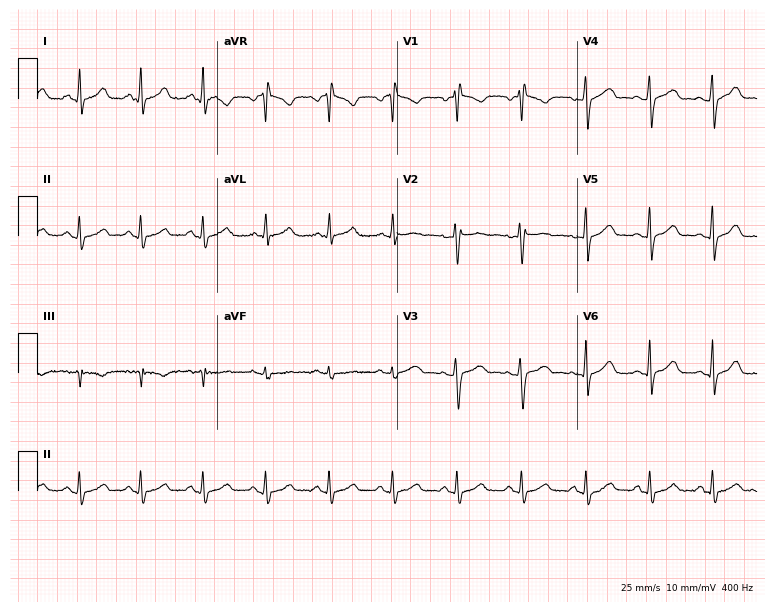
ECG — a female patient, 32 years old. Screened for six findings — first-degree AV block, right bundle branch block (RBBB), left bundle branch block (LBBB), sinus bradycardia, atrial fibrillation (AF), sinus tachycardia — none is recorded. Other findings, if any, are not listed.